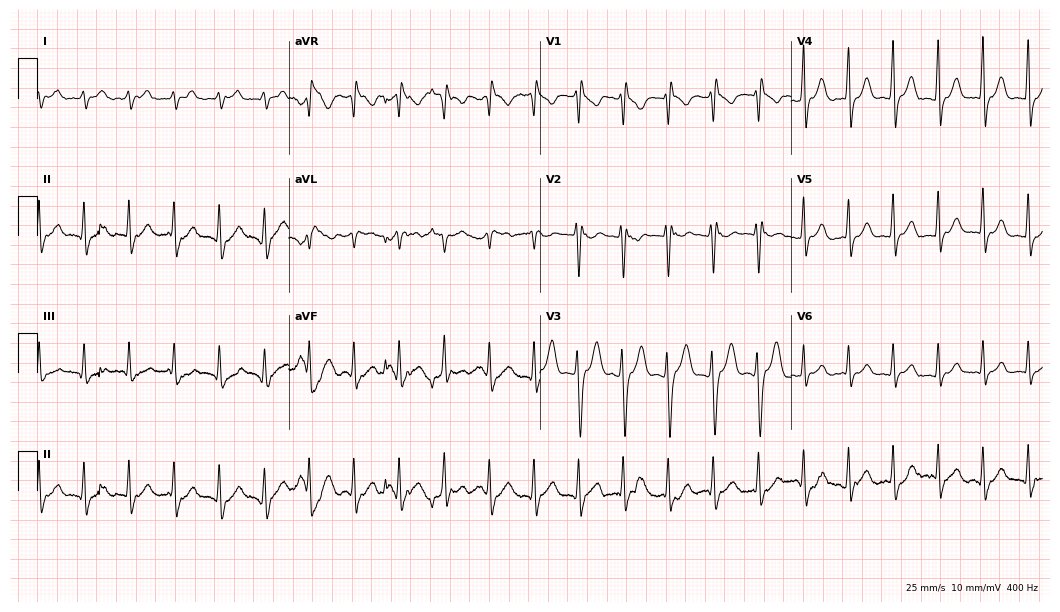
Standard 12-lead ECG recorded from a male, 24 years old (10.2-second recording at 400 Hz). The tracing shows sinus tachycardia (a sinus rate of 100 beats per minute or more).